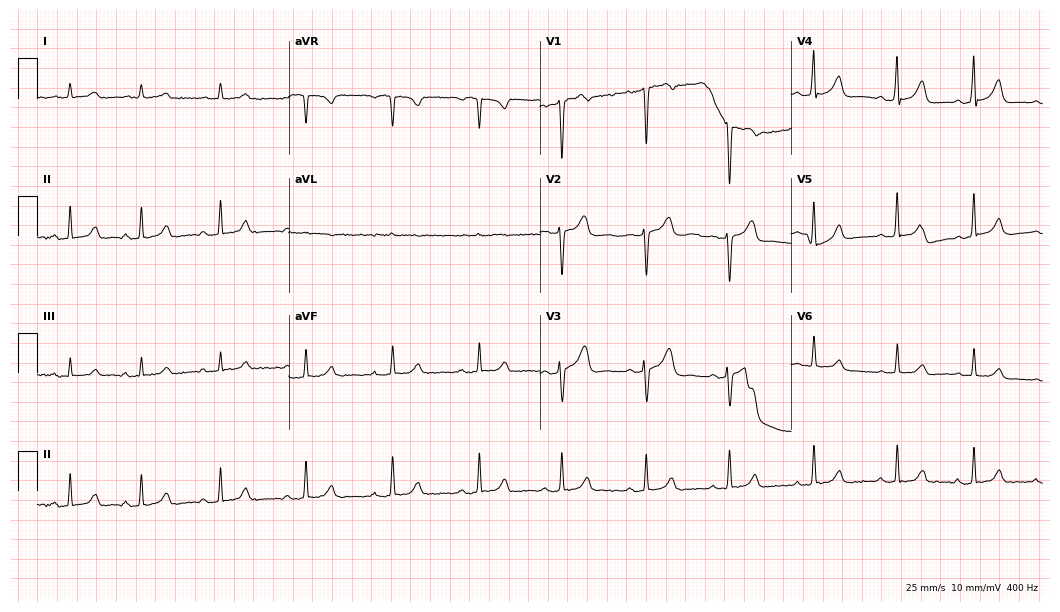
12-lead ECG from a 39-year-old female. Screened for six findings — first-degree AV block, right bundle branch block, left bundle branch block, sinus bradycardia, atrial fibrillation, sinus tachycardia — none is recorded. Only these six findings were labelled.